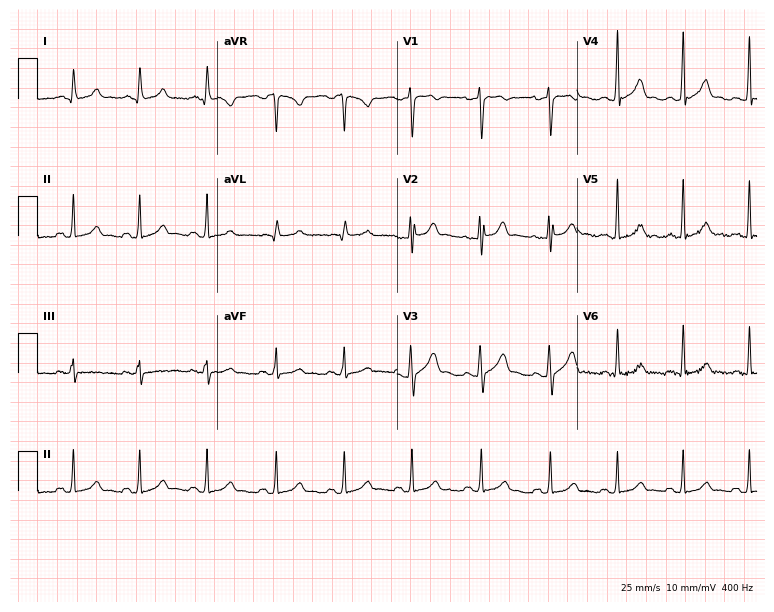
ECG — a male, 27 years old. Screened for six findings — first-degree AV block, right bundle branch block, left bundle branch block, sinus bradycardia, atrial fibrillation, sinus tachycardia — none is recorded. Other findings, if any, are not listed.